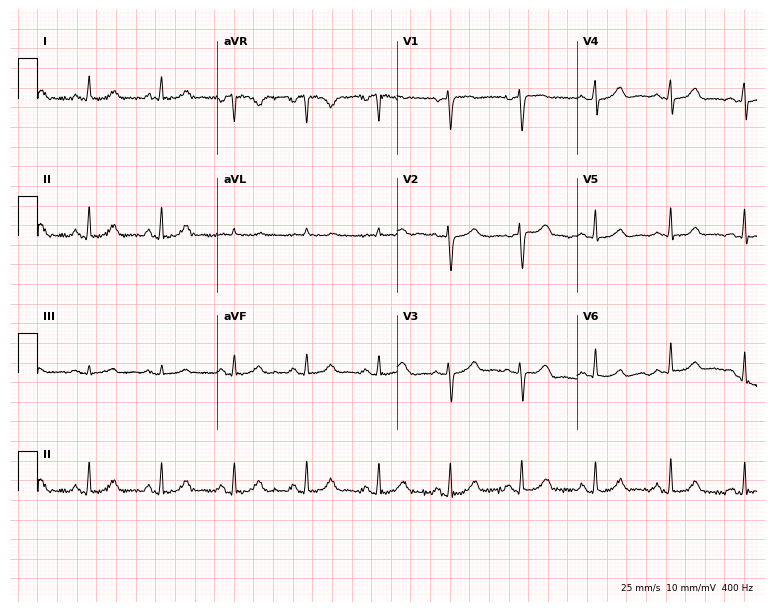
12-lead ECG from a 48-year-old woman. Recorded interpretation: within normal limits.